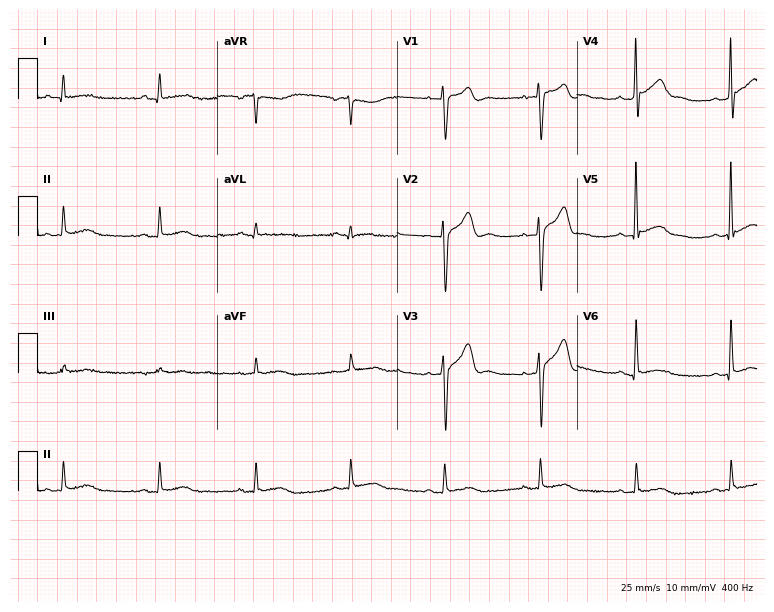
Electrocardiogram, a 49-year-old male patient. Overall reading on record: normal ECG.